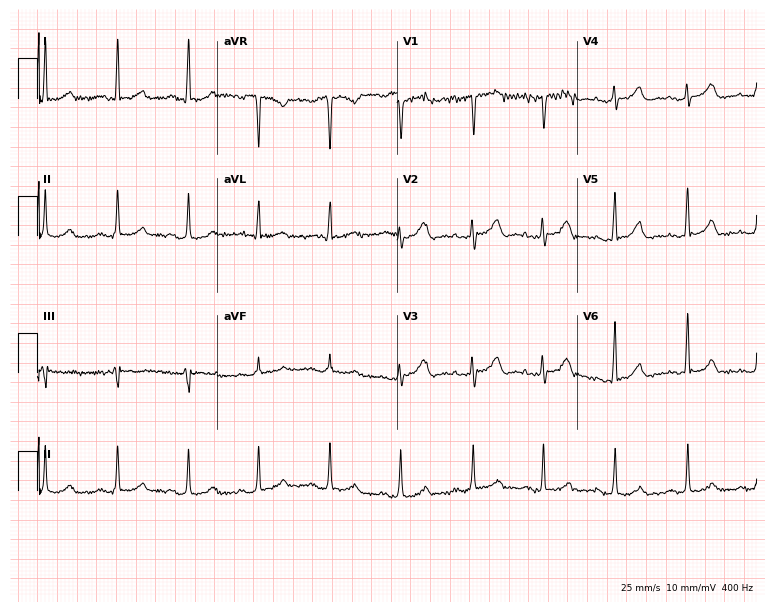
Electrocardiogram, a 59-year-old woman. Overall reading on record: normal ECG.